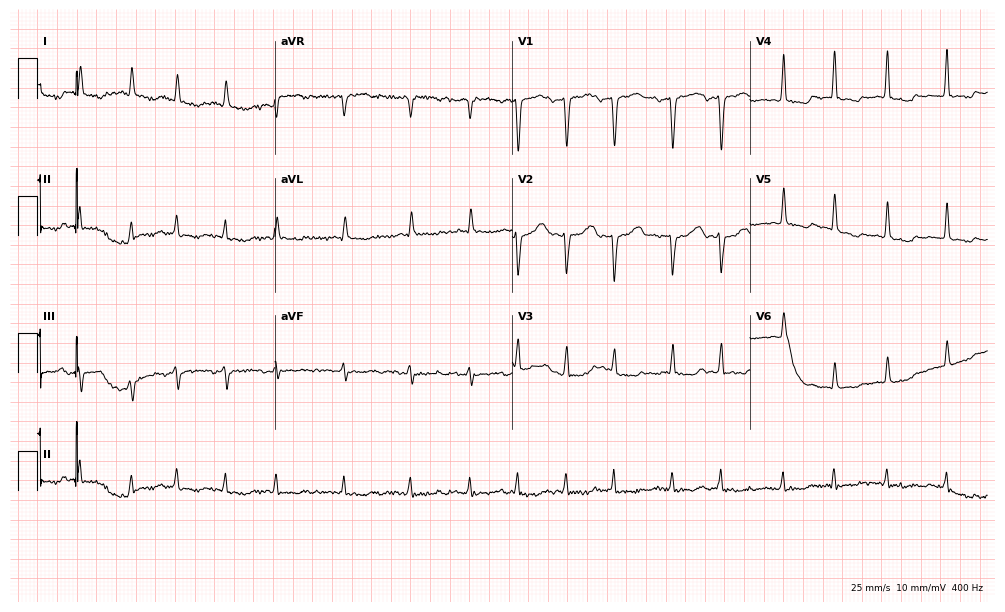
Electrocardiogram, a female, 83 years old. Of the six screened findings (first-degree AV block, right bundle branch block, left bundle branch block, sinus bradycardia, atrial fibrillation, sinus tachycardia), none is recorded.